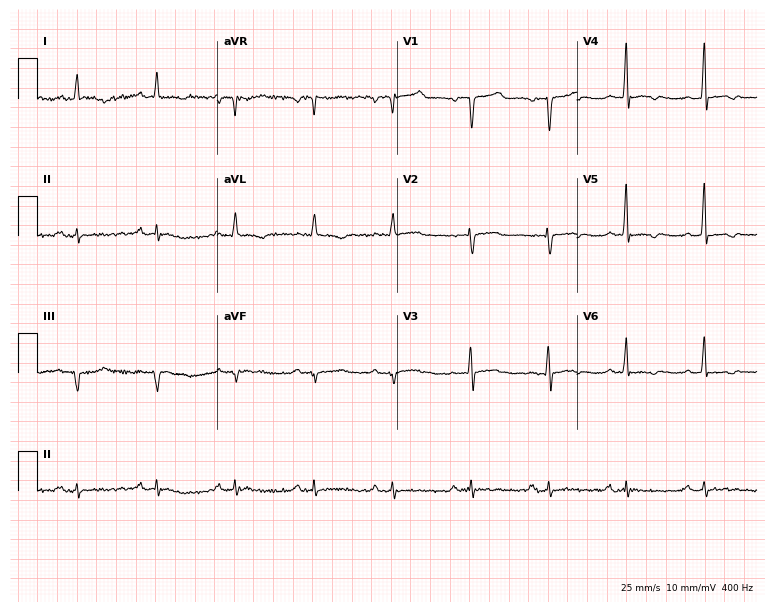
12-lead ECG (7.3-second recording at 400 Hz) from a 72-year-old male patient. Labelled as a normal ECG.